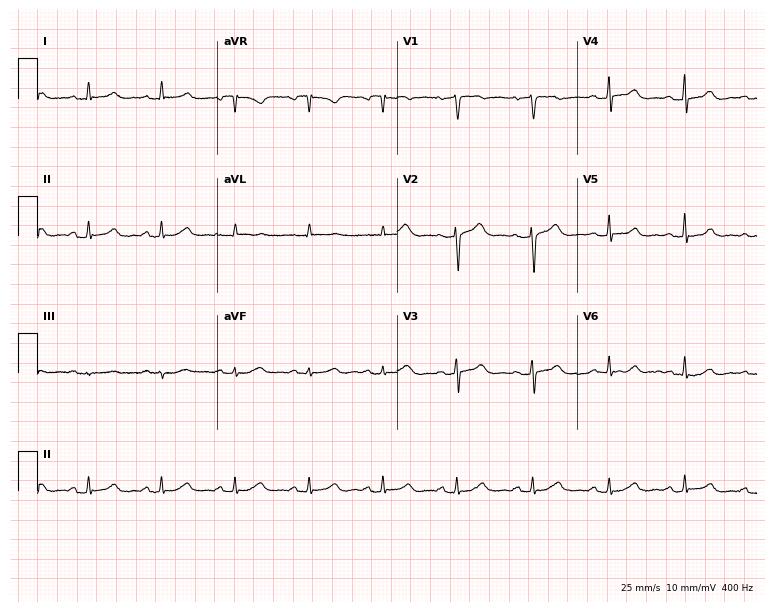
Standard 12-lead ECG recorded from a 52-year-old female. None of these six findings is recorded: first-degree AV block, right bundle branch block (RBBB), left bundle branch block (LBBB), sinus bradycardia, atrial fibrillation (AF), sinus tachycardia. Findings outside these six are not listed.